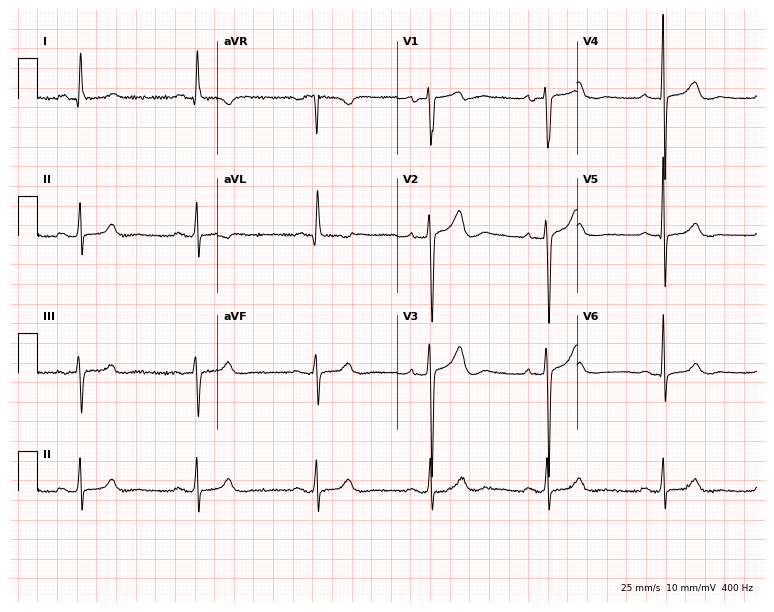
Electrocardiogram (7.3-second recording at 400 Hz), a 65-year-old male patient. Of the six screened findings (first-degree AV block, right bundle branch block, left bundle branch block, sinus bradycardia, atrial fibrillation, sinus tachycardia), none is recorded.